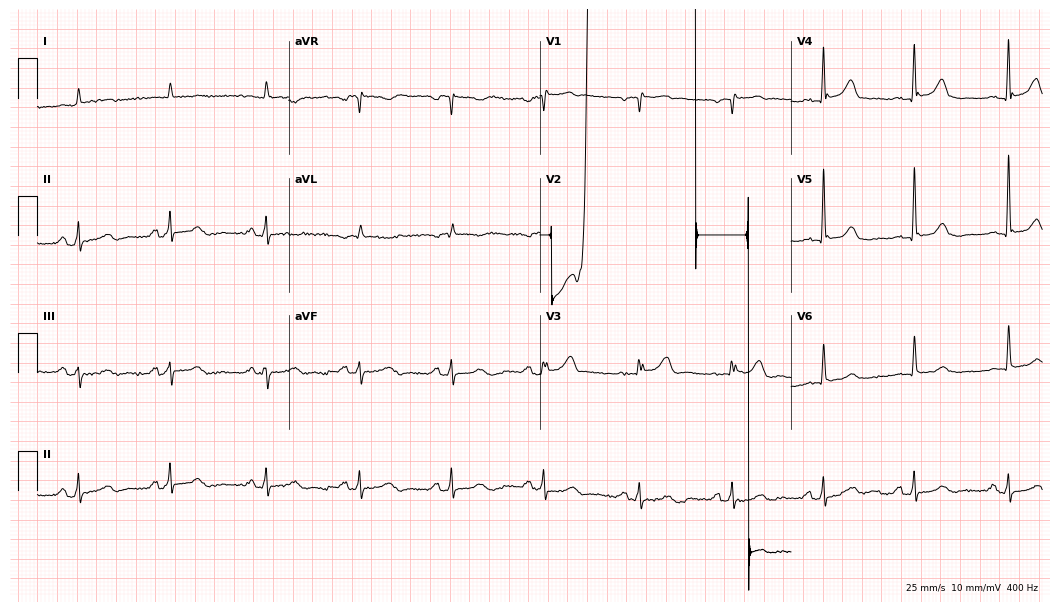
Electrocardiogram, a 78-year-old man. Of the six screened findings (first-degree AV block, right bundle branch block, left bundle branch block, sinus bradycardia, atrial fibrillation, sinus tachycardia), none is recorded.